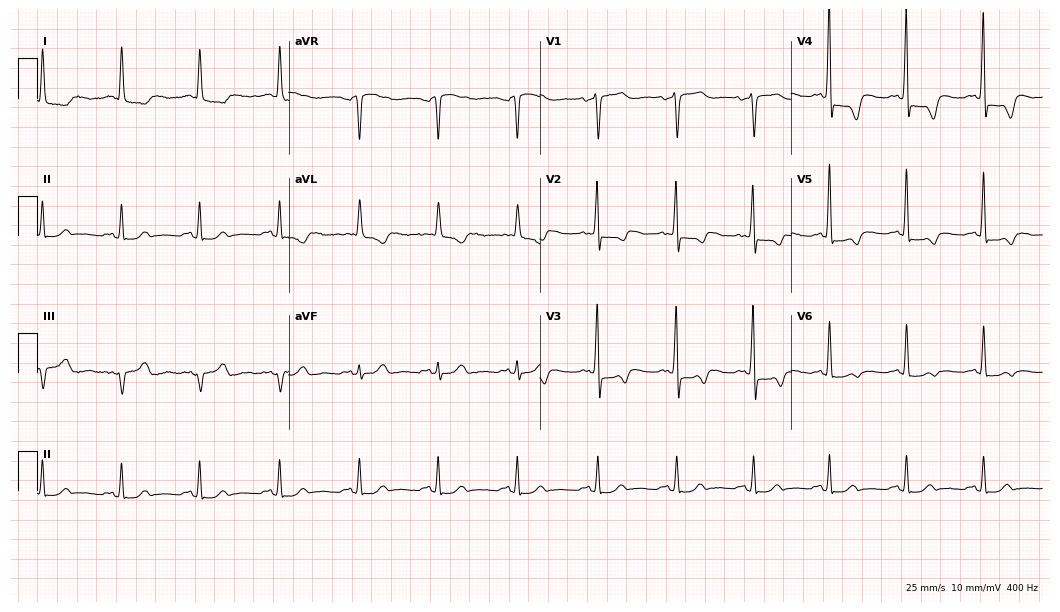
12-lead ECG (10.2-second recording at 400 Hz) from a 77-year-old male patient. Screened for six findings — first-degree AV block, right bundle branch block (RBBB), left bundle branch block (LBBB), sinus bradycardia, atrial fibrillation (AF), sinus tachycardia — none is recorded.